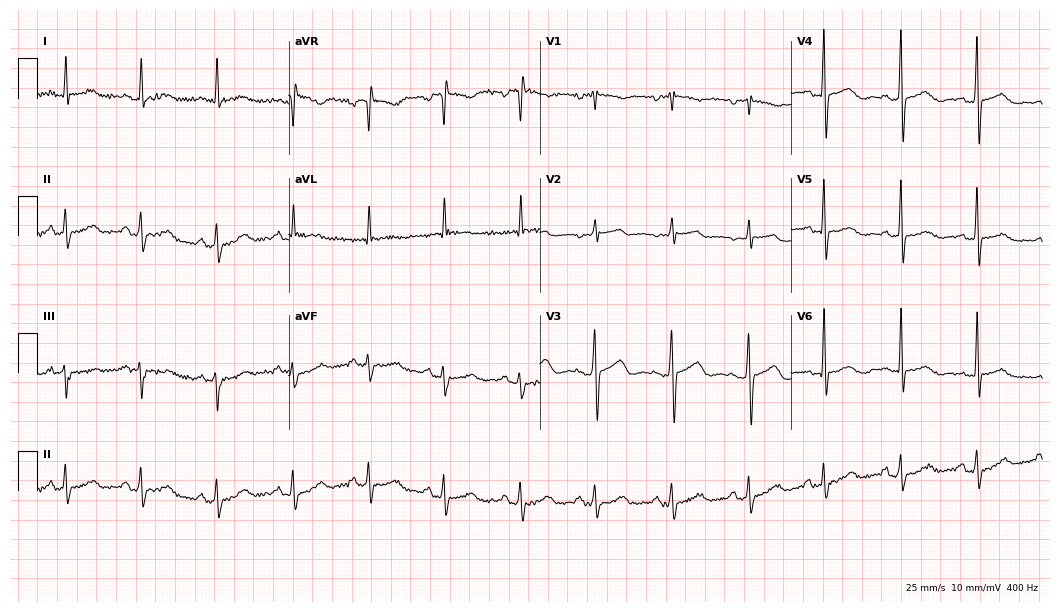
ECG (10.2-second recording at 400 Hz) — a female patient, 72 years old. Screened for six findings — first-degree AV block, right bundle branch block, left bundle branch block, sinus bradycardia, atrial fibrillation, sinus tachycardia — none is recorded. Findings outside these six are not listed.